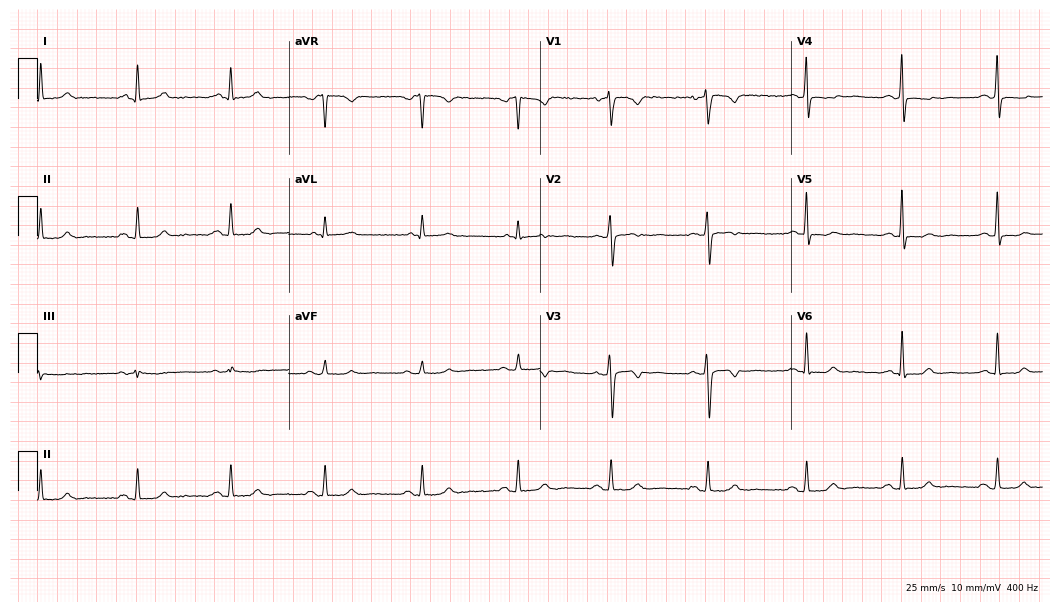
Standard 12-lead ECG recorded from a woman, 44 years old. None of these six findings is recorded: first-degree AV block, right bundle branch block, left bundle branch block, sinus bradycardia, atrial fibrillation, sinus tachycardia.